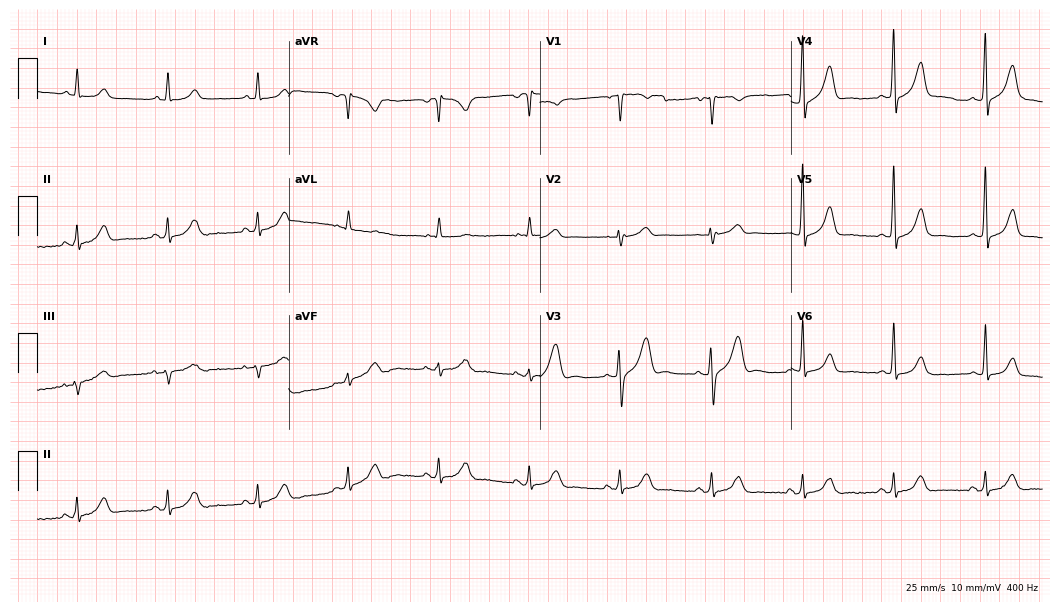
Electrocardiogram, a 46-year-old male. Of the six screened findings (first-degree AV block, right bundle branch block (RBBB), left bundle branch block (LBBB), sinus bradycardia, atrial fibrillation (AF), sinus tachycardia), none is recorded. Only these six findings were labelled.